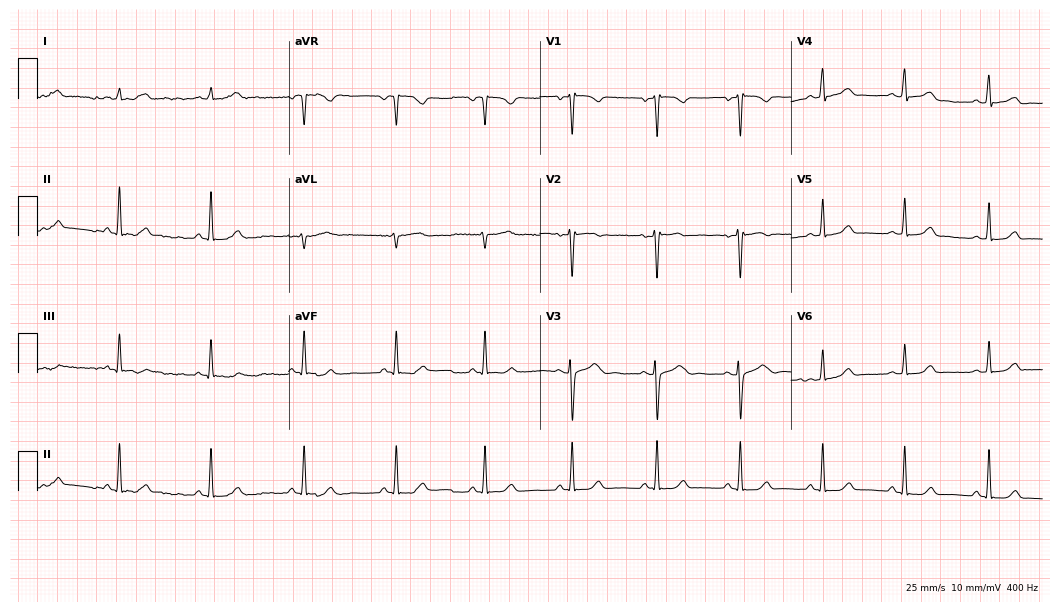
Resting 12-lead electrocardiogram (10.2-second recording at 400 Hz). Patient: a female, 24 years old. None of these six findings is recorded: first-degree AV block, right bundle branch block, left bundle branch block, sinus bradycardia, atrial fibrillation, sinus tachycardia. Other findings, if any, are not listed.